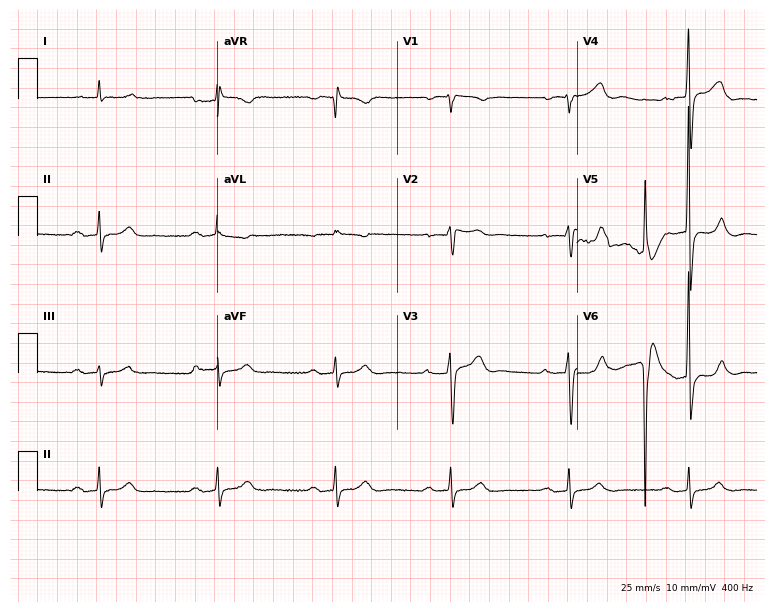
Resting 12-lead electrocardiogram (7.3-second recording at 400 Hz). Patient: a male, 85 years old. The tracing shows first-degree AV block, right bundle branch block (RBBB).